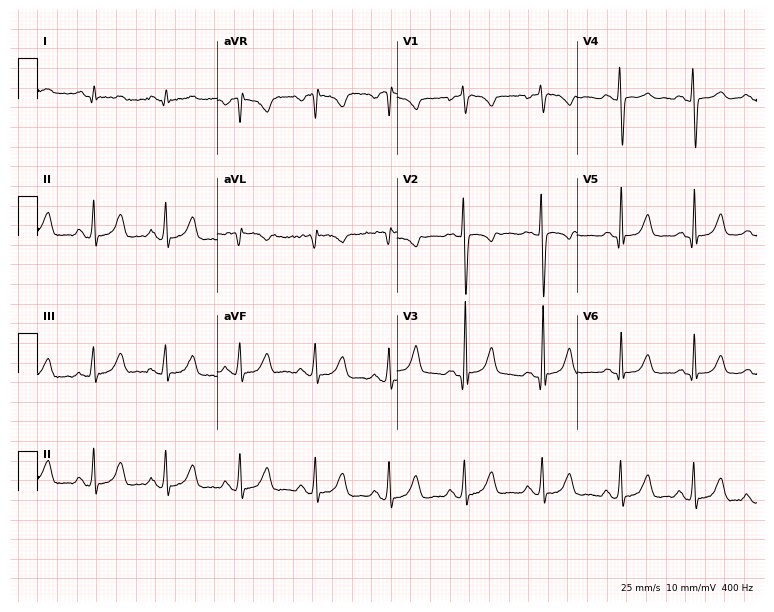
ECG — a female, 26 years old. Screened for six findings — first-degree AV block, right bundle branch block (RBBB), left bundle branch block (LBBB), sinus bradycardia, atrial fibrillation (AF), sinus tachycardia — none is recorded.